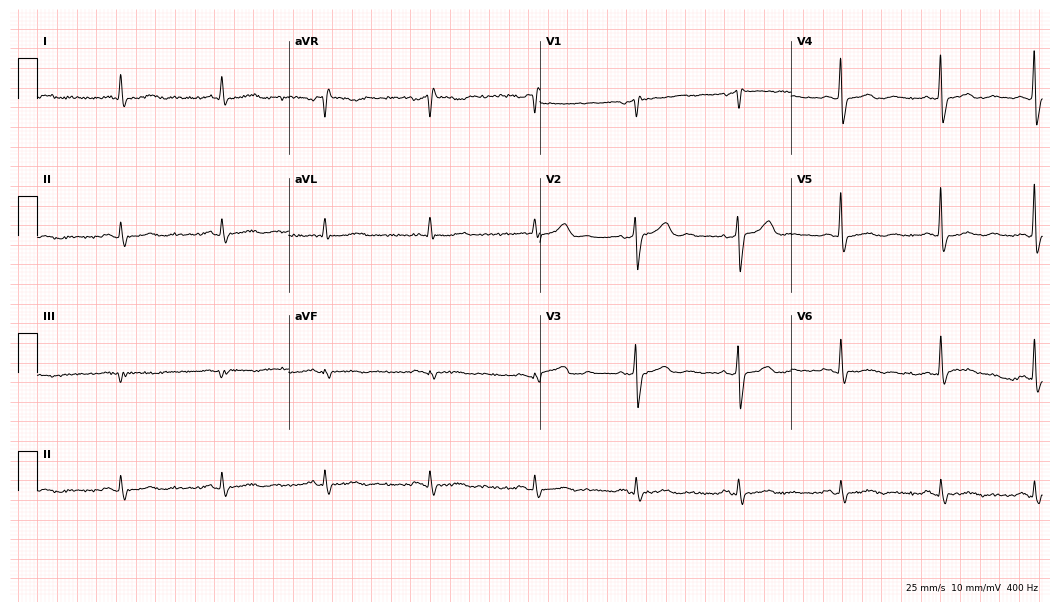
12-lead ECG (10.2-second recording at 400 Hz) from a male, 52 years old. Screened for six findings — first-degree AV block, right bundle branch block, left bundle branch block, sinus bradycardia, atrial fibrillation, sinus tachycardia — none is recorded.